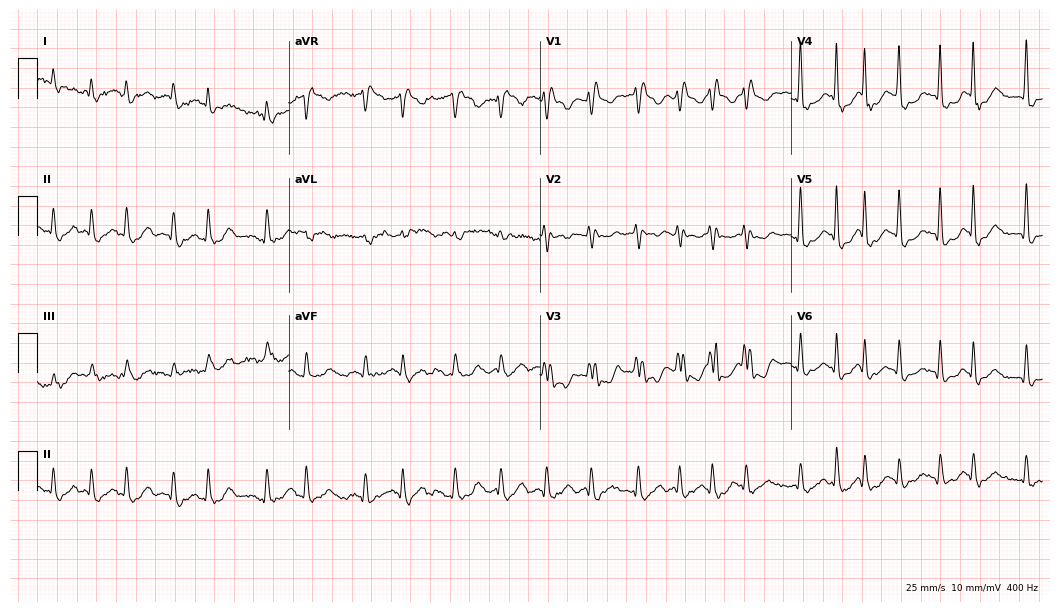
Standard 12-lead ECG recorded from a male patient, 72 years old (10.2-second recording at 400 Hz). None of these six findings is recorded: first-degree AV block, right bundle branch block, left bundle branch block, sinus bradycardia, atrial fibrillation, sinus tachycardia.